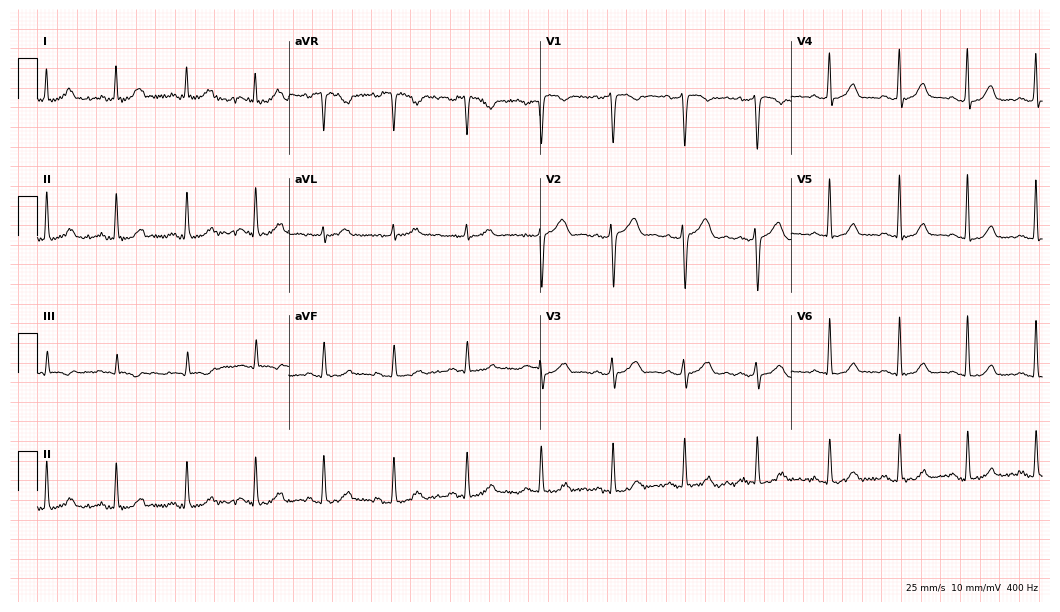
Standard 12-lead ECG recorded from a female patient, 43 years old (10.2-second recording at 400 Hz). Read as a normal ECG.